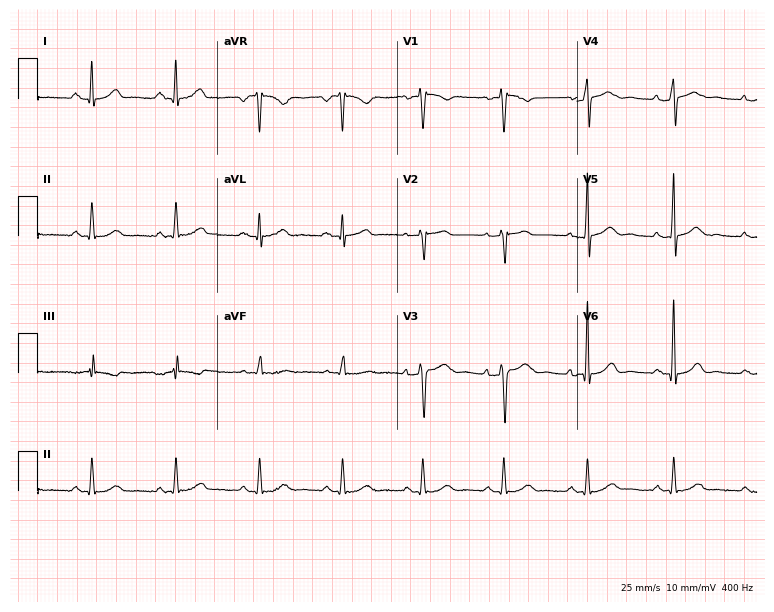
12-lead ECG from a 41-year-old male. No first-degree AV block, right bundle branch block, left bundle branch block, sinus bradycardia, atrial fibrillation or sinus tachycardia recorded for this tracing. Only these six findings were labelled.